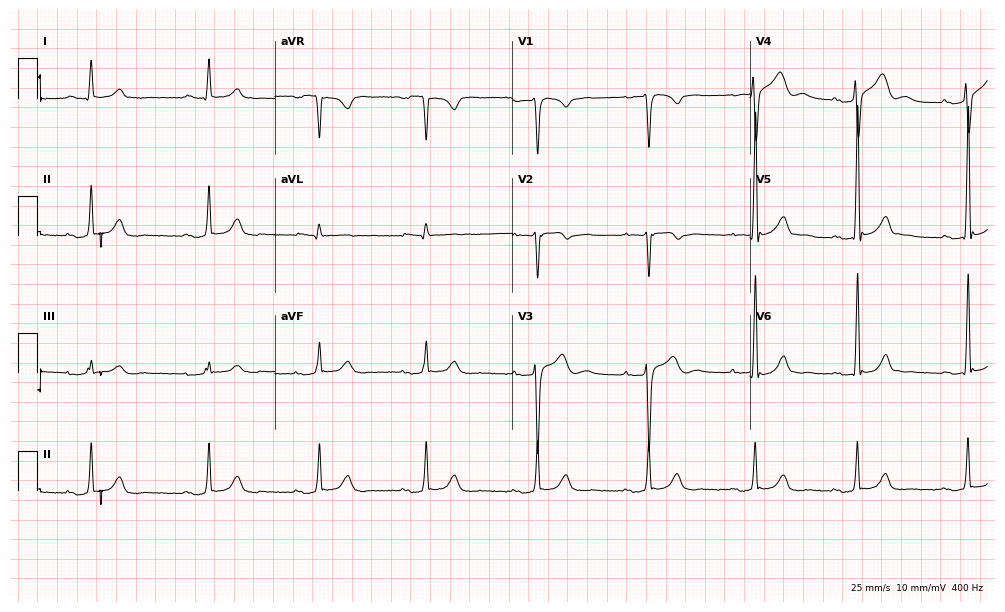
Resting 12-lead electrocardiogram. Patient: a 35-year-old male. The tracing shows first-degree AV block.